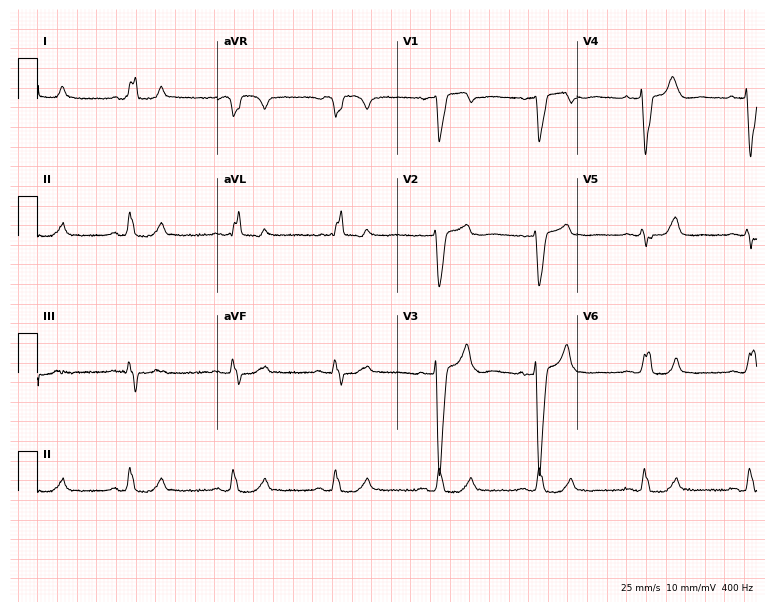
Resting 12-lead electrocardiogram. Patient: a female, 89 years old. The tracing shows left bundle branch block.